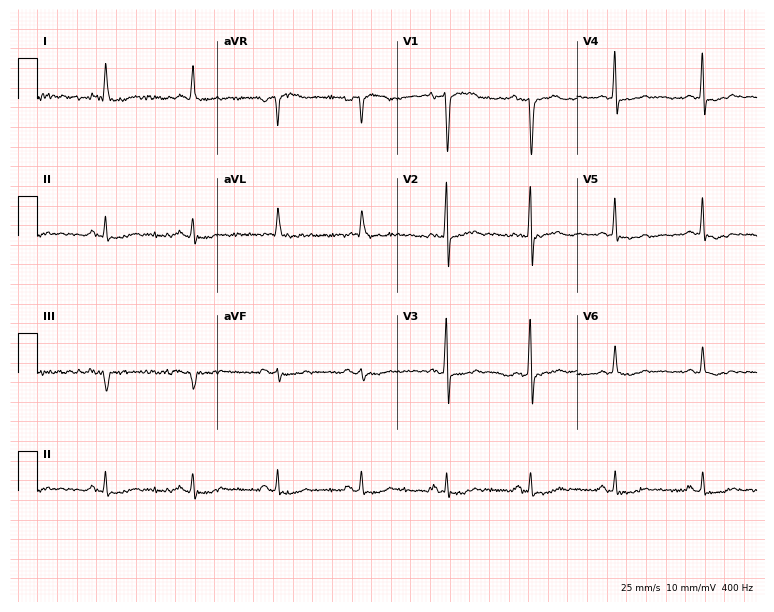
Resting 12-lead electrocardiogram (7.3-second recording at 400 Hz). Patient: a male, 66 years old. None of these six findings is recorded: first-degree AV block, right bundle branch block, left bundle branch block, sinus bradycardia, atrial fibrillation, sinus tachycardia. Other findings, if any, are not listed.